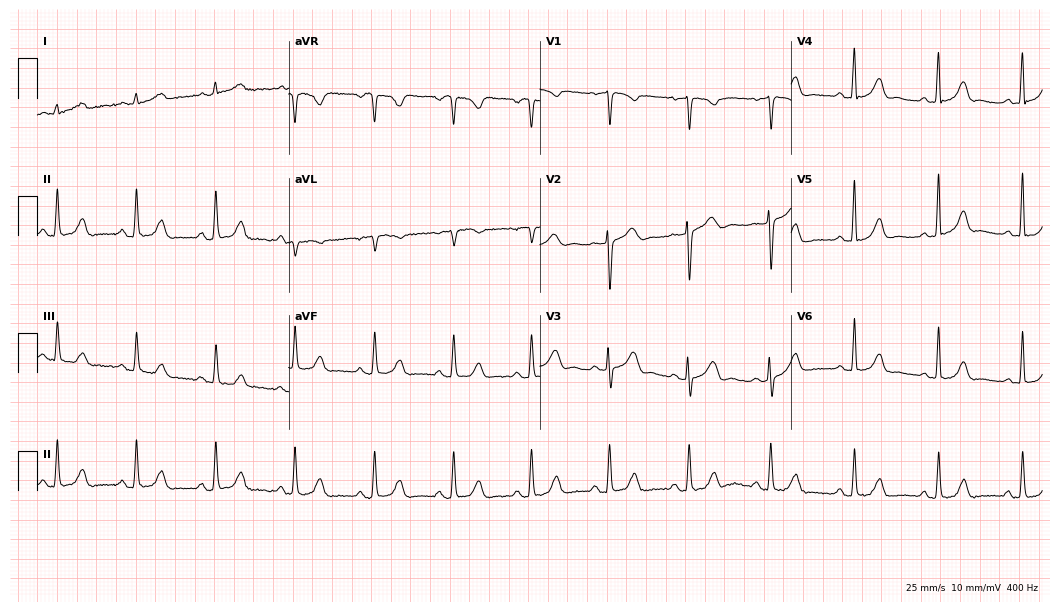
Electrocardiogram, a 55-year-old woman. Overall reading on record: normal ECG.